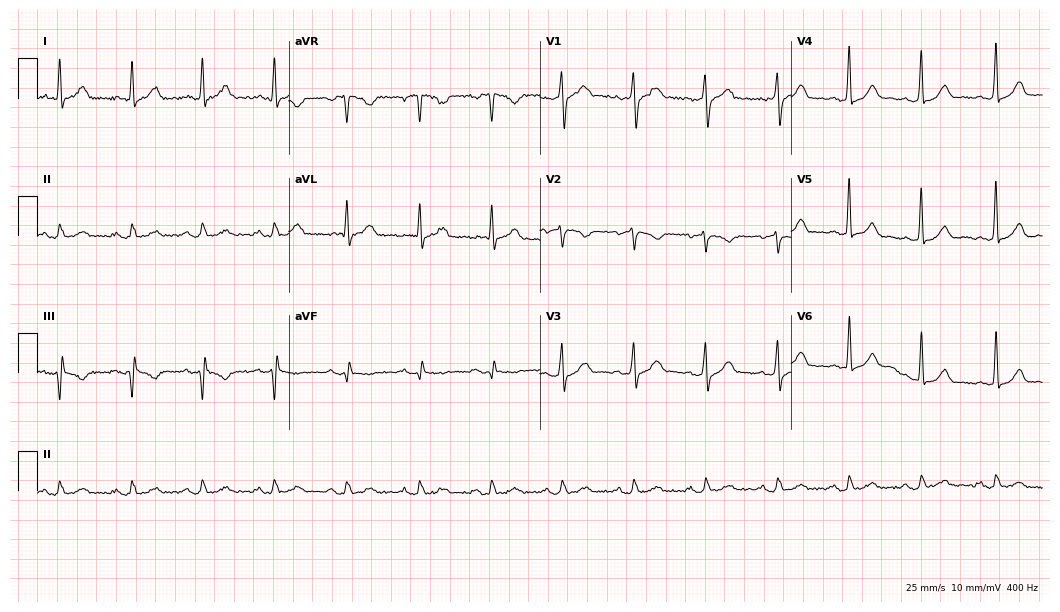
ECG (10.2-second recording at 400 Hz) — a man, 53 years old. Labelled as a normal ECG.